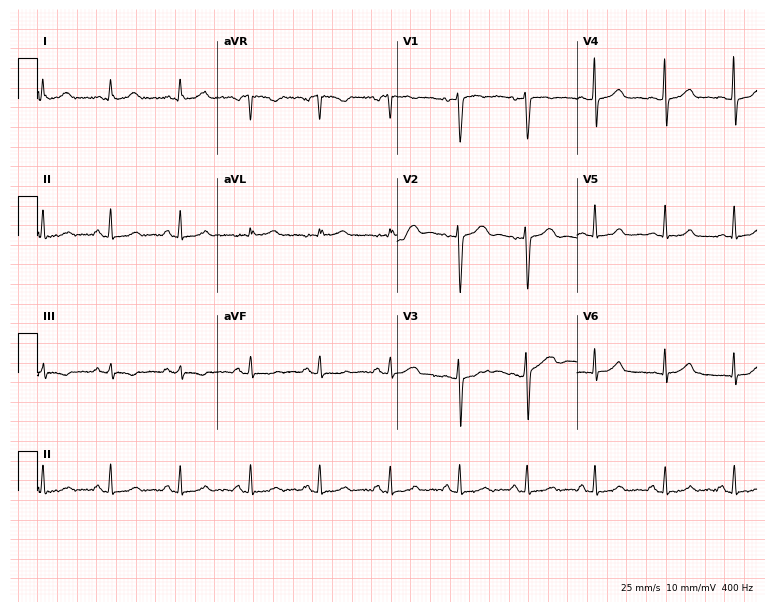
12-lead ECG from a woman, 34 years old. Recorded interpretation: within normal limits.